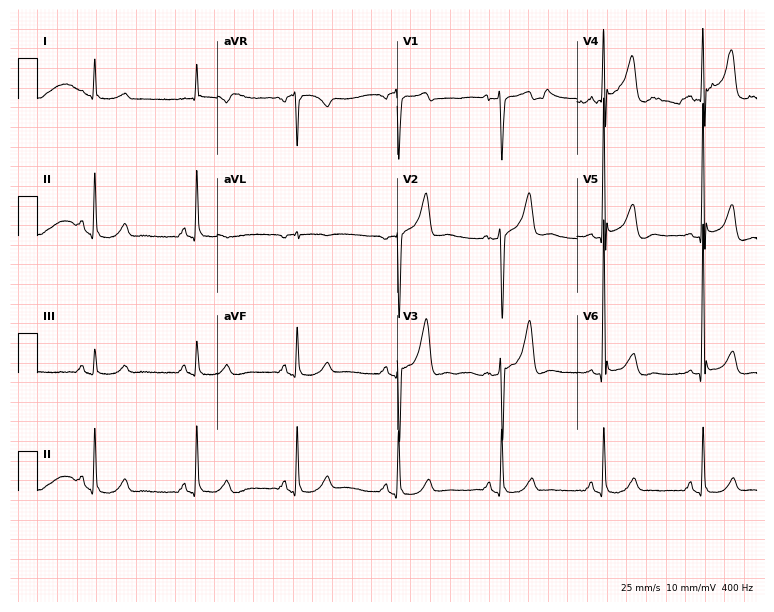
Electrocardiogram (7.3-second recording at 400 Hz), a male patient, 59 years old. Of the six screened findings (first-degree AV block, right bundle branch block, left bundle branch block, sinus bradycardia, atrial fibrillation, sinus tachycardia), none is recorded.